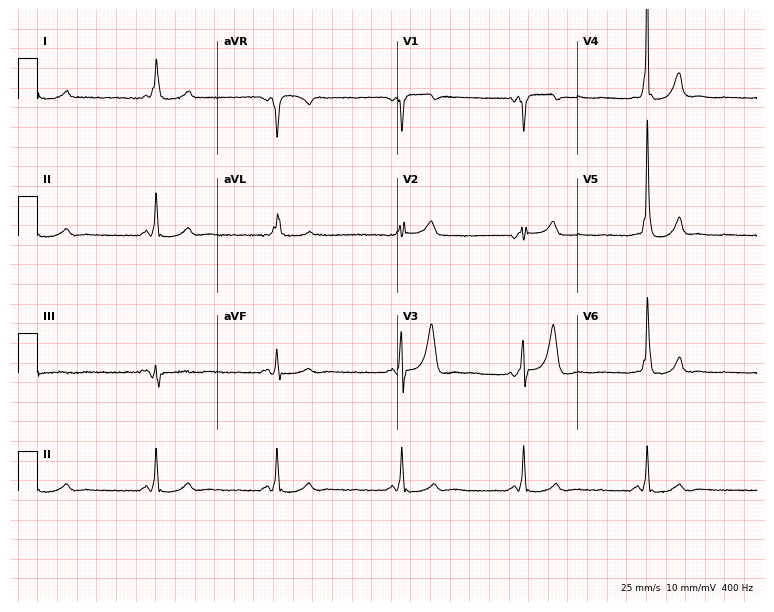
Electrocardiogram, a male, 55 years old. Interpretation includes sinus bradycardia (a sinus rate of 50 beats per minute or less).